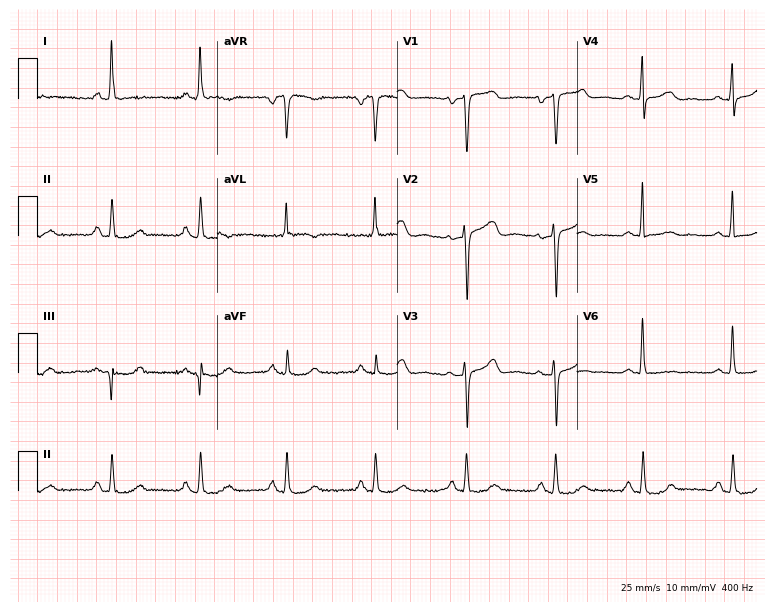
Standard 12-lead ECG recorded from a 59-year-old female (7.3-second recording at 400 Hz). None of these six findings is recorded: first-degree AV block, right bundle branch block, left bundle branch block, sinus bradycardia, atrial fibrillation, sinus tachycardia.